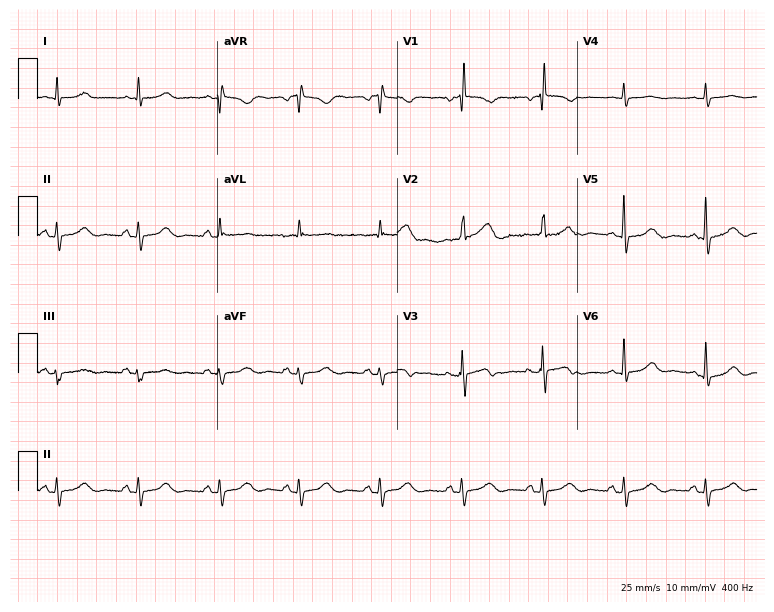
Electrocardiogram (7.3-second recording at 400 Hz), a female patient, 80 years old. Of the six screened findings (first-degree AV block, right bundle branch block (RBBB), left bundle branch block (LBBB), sinus bradycardia, atrial fibrillation (AF), sinus tachycardia), none is recorded. Other findings, if any, are not listed.